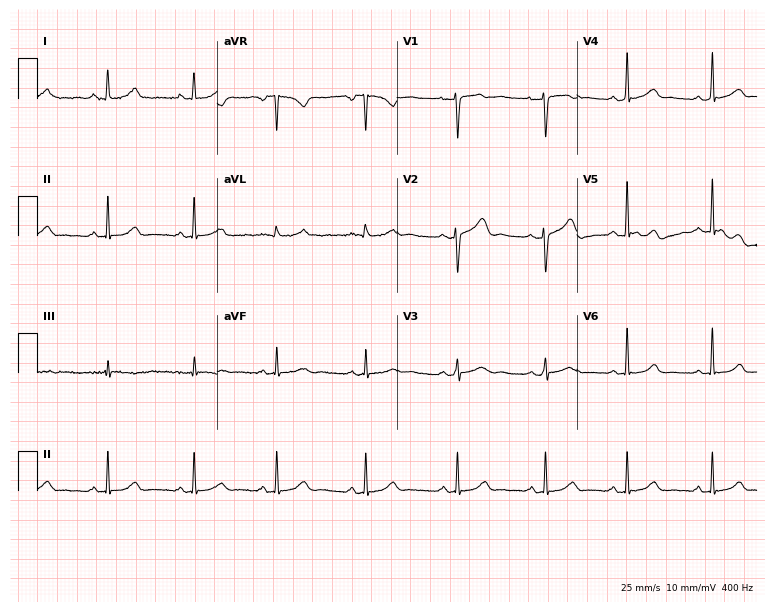
Standard 12-lead ECG recorded from a 26-year-old female patient. Read as a normal ECG.